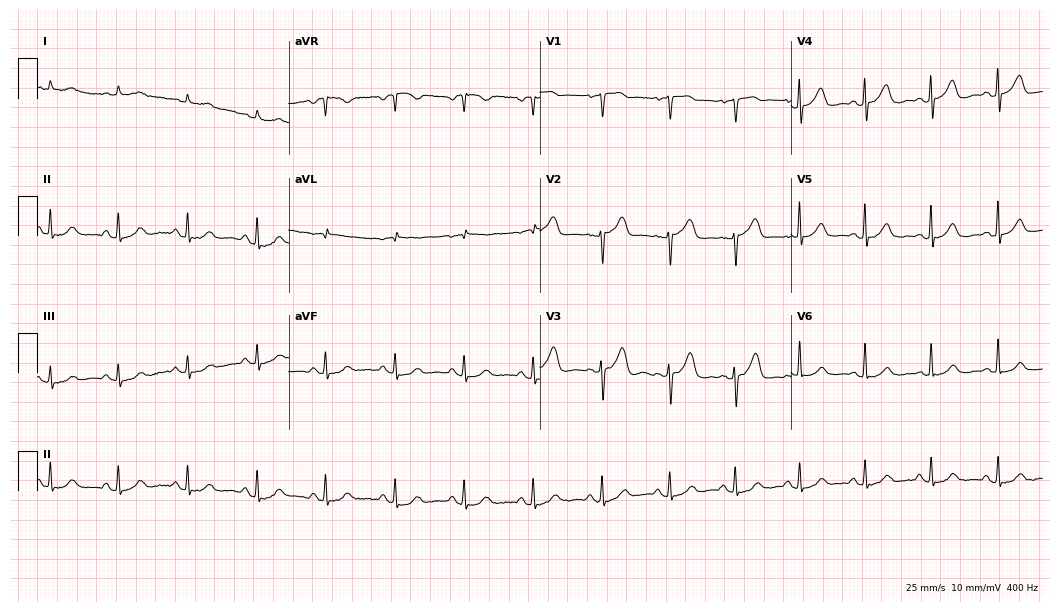
Resting 12-lead electrocardiogram. Patient: a female, 84 years old. Read as a normal ECG.